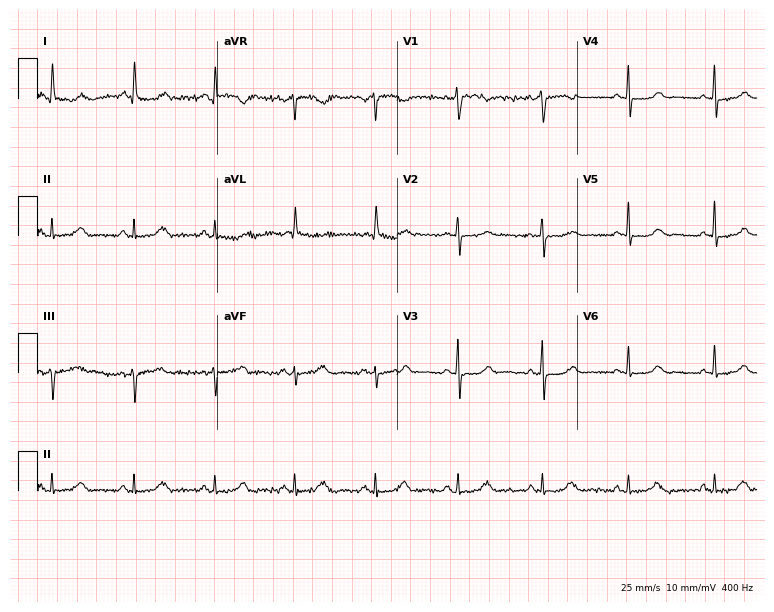
ECG (7.3-second recording at 400 Hz) — a female patient, 62 years old. Screened for six findings — first-degree AV block, right bundle branch block, left bundle branch block, sinus bradycardia, atrial fibrillation, sinus tachycardia — none is recorded. Other findings, if any, are not listed.